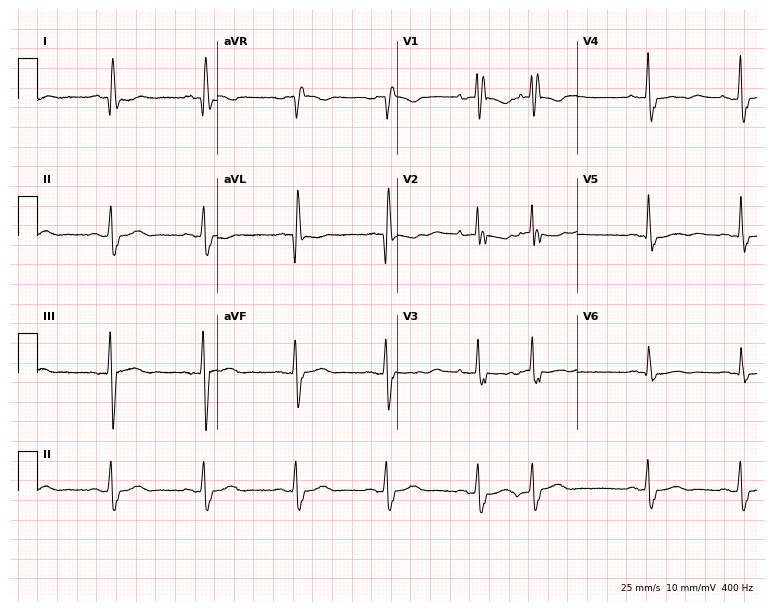
Standard 12-lead ECG recorded from a 71-year-old female (7.3-second recording at 400 Hz). The tracing shows right bundle branch block.